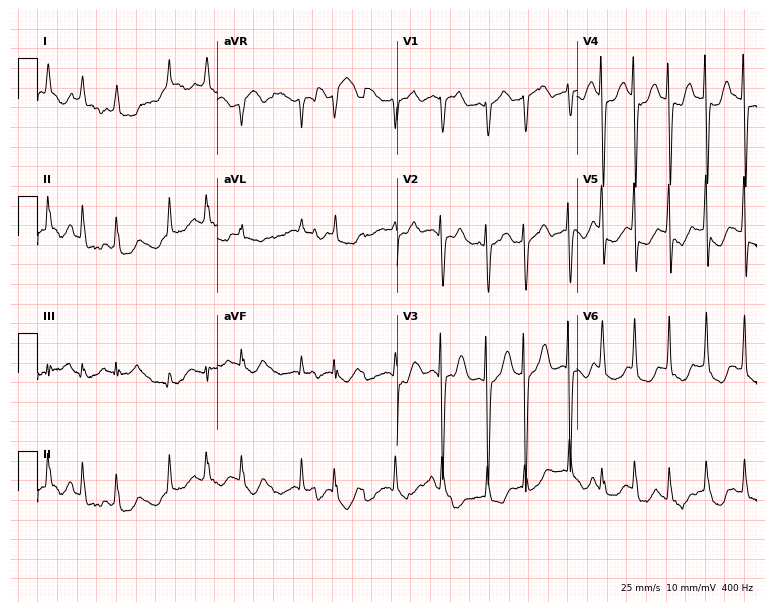
Electrocardiogram (7.3-second recording at 400 Hz), a woman, 82 years old. Interpretation includes atrial fibrillation (AF).